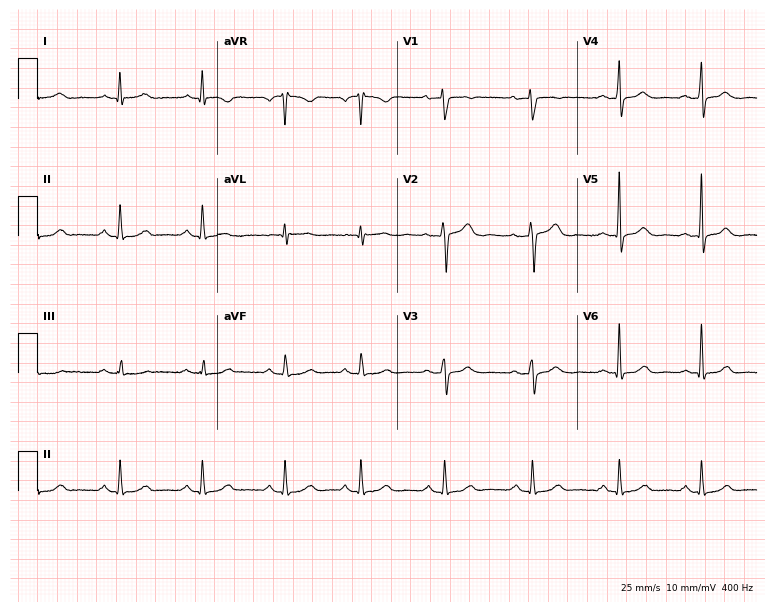
12-lead ECG (7.3-second recording at 400 Hz) from a 43-year-old male. Labelled as a normal ECG.